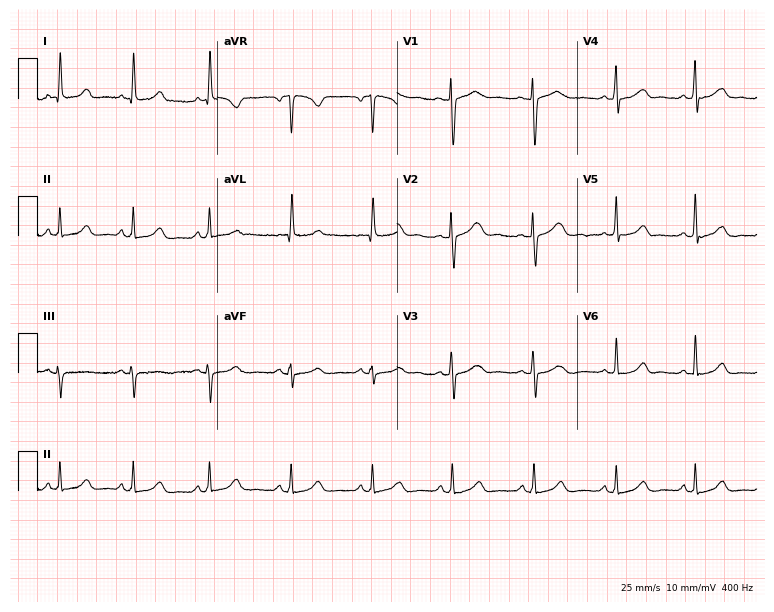
Resting 12-lead electrocardiogram (7.3-second recording at 400 Hz). Patient: a 53-year-old female. Read as a normal ECG.